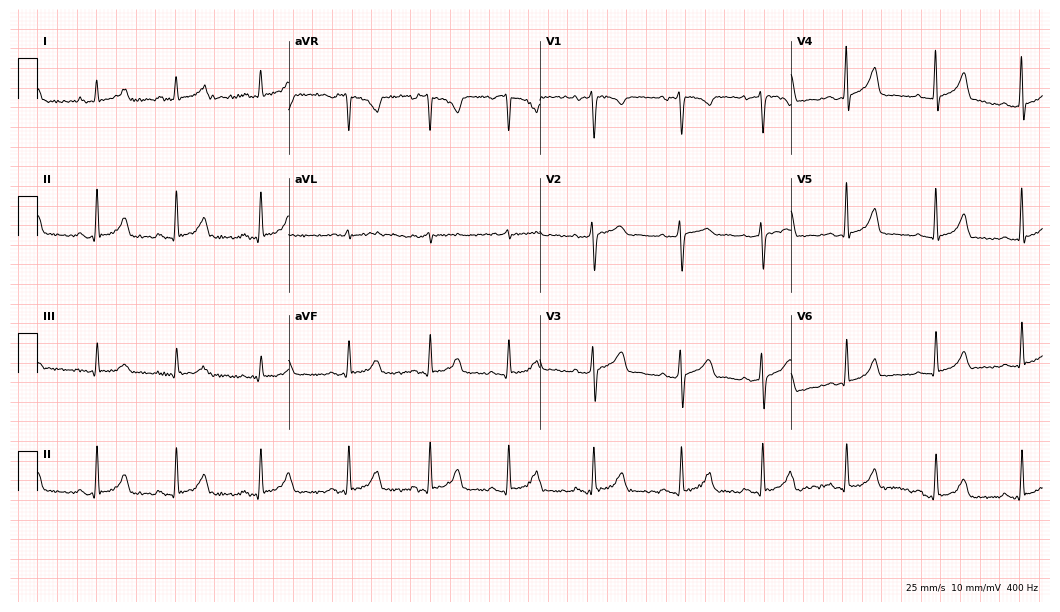
12-lead ECG (10.2-second recording at 400 Hz) from a woman, 37 years old. Labelled as a normal ECG.